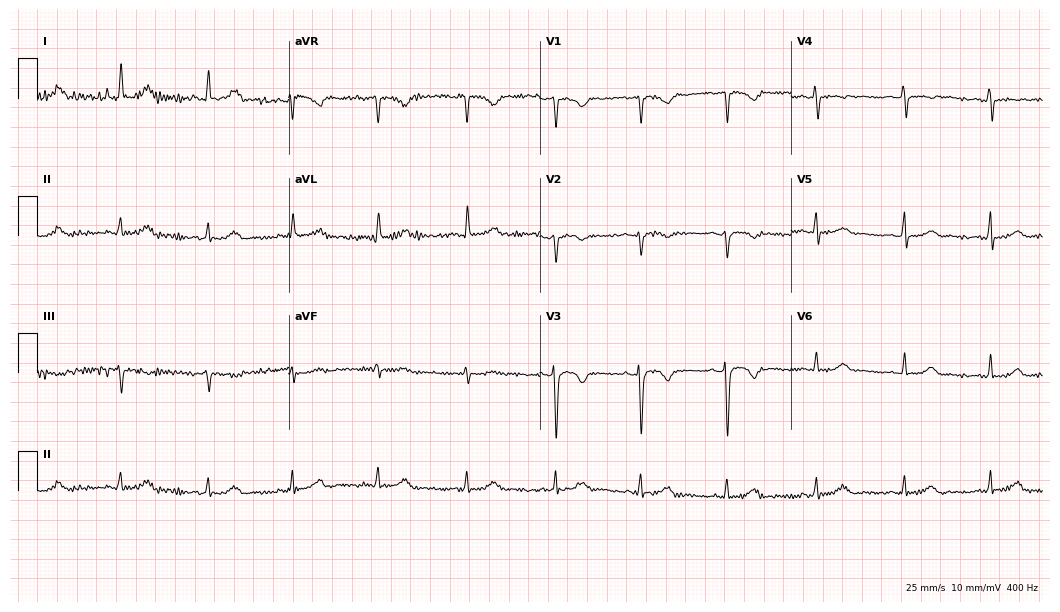
Resting 12-lead electrocardiogram (10.2-second recording at 400 Hz). Patient: a 42-year-old female. None of these six findings is recorded: first-degree AV block, right bundle branch block, left bundle branch block, sinus bradycardia, atrial fibrillation, sinus tachycardia. Findings outside these six are not listed.